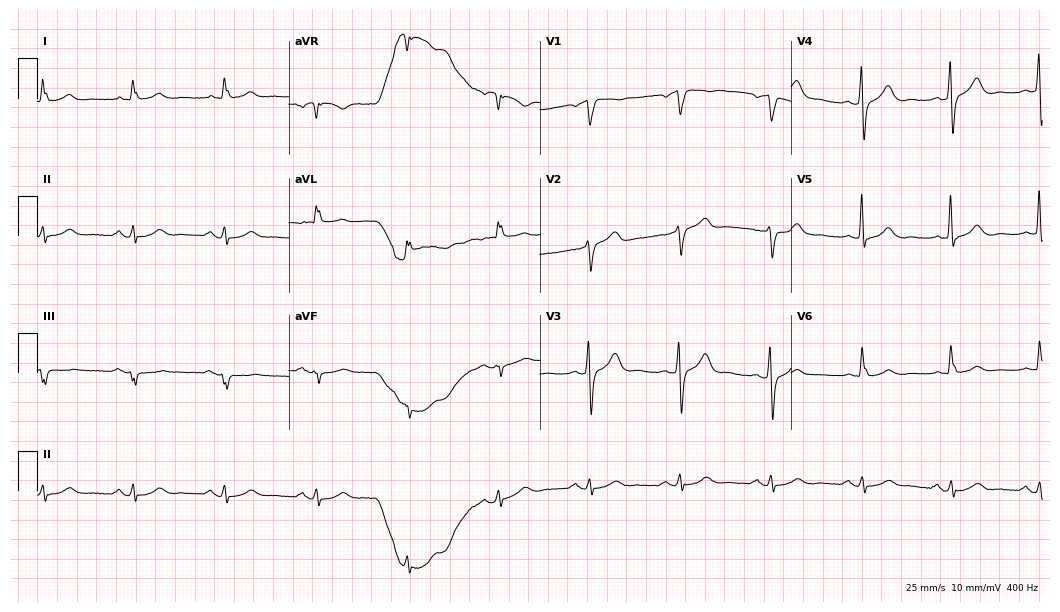
ECG — a 78-year-old male. Screened for six findings — first-degree AV block, right bundle branch block, left bundle branch block, sinus bradycardia, atrial fibrillation, sinus tachycardia — none is recorded. Other findings, if any, are not listed.